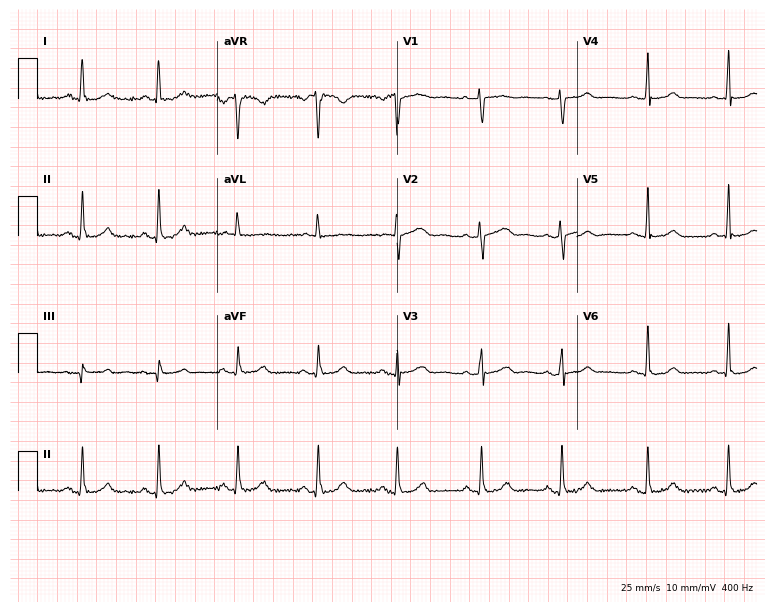
12-lead ECG from a 35-year-old woman. No first-degree AV block, right bundle branch block, left bundle branch block, sinus bradycardia, atrial fibrillation or sinus tachycardia recorded for this tracing.